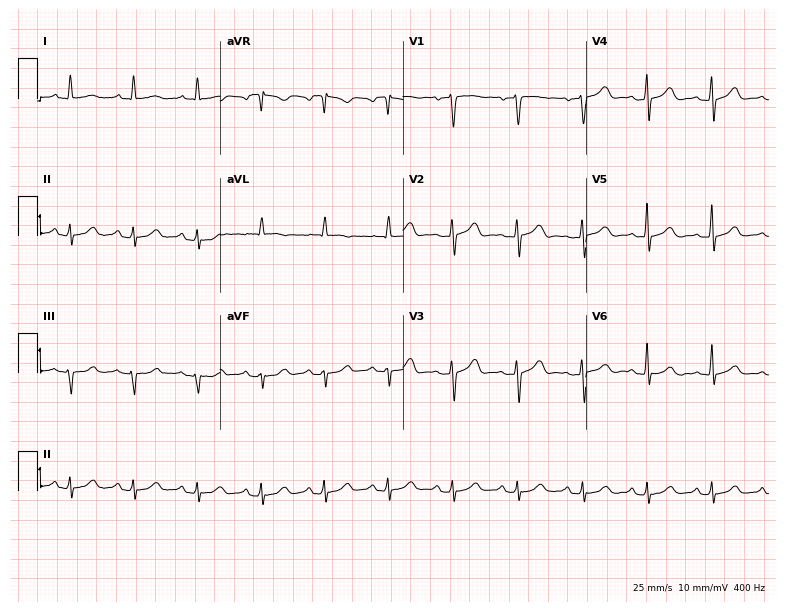
Standard 12-lead ECG recorded from a woman, 55 years old. Read as a normal ECG.